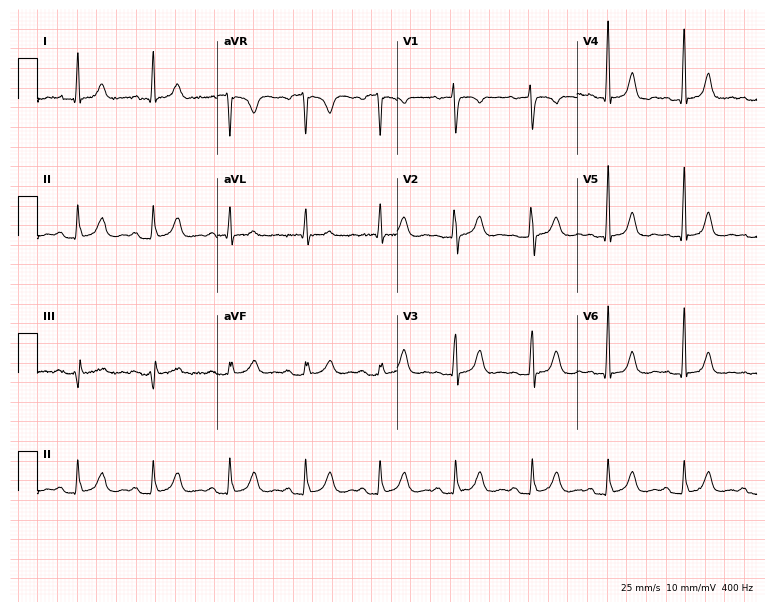
12-lead ECG (7.3-second recording at 400 Hz) from a female patient, 59 years old. Screened for six findings — first-degree AV block, right bundle branch block (RBBB), left bundle branch block (LBBB), sinus bradycardia, atrial fibrillation (AF), sinus tachycardia — none is recorded. Other findings, if any, are not listed.